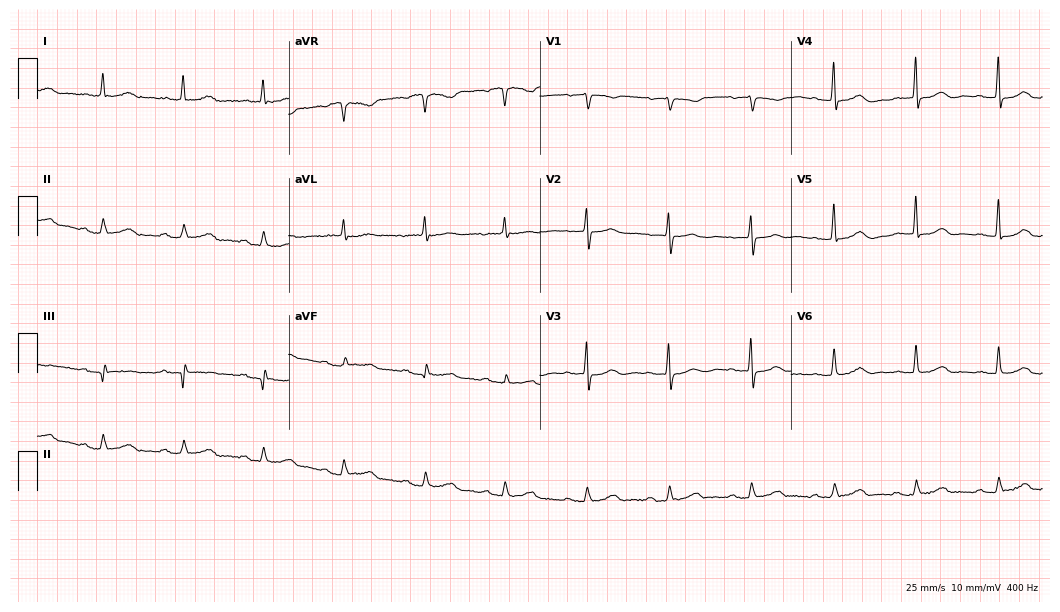
12-lead ECG from a 75-year-old female. Recorded interpretation: within normal limits.